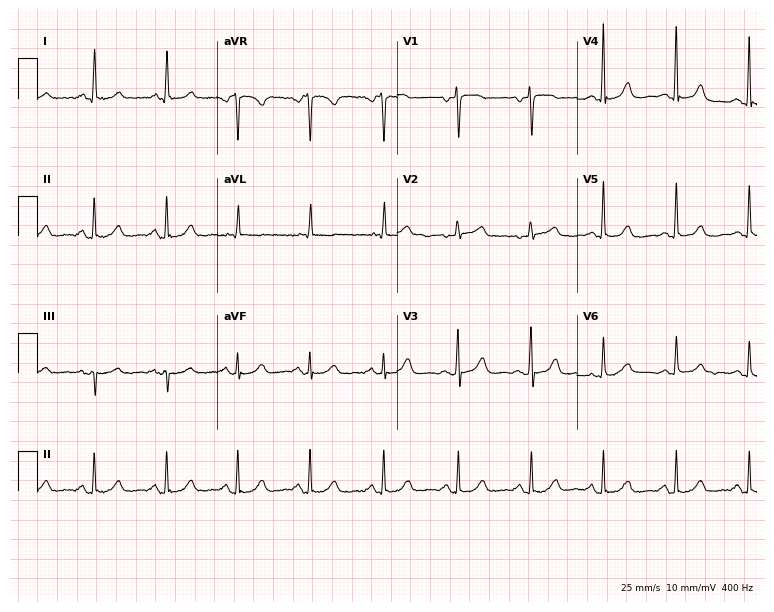
ECG (7.3-second recording at 400 Hz) — a female patient, 67 years old. Screened for six findings — first-degree AV block, right bundle branch block (RBBB), left bundle branch block (LBBB), sinus bradycardia, atrial fibrillation (AF), sinus tachycardia — none is recorded. Only these six findings were labelled.